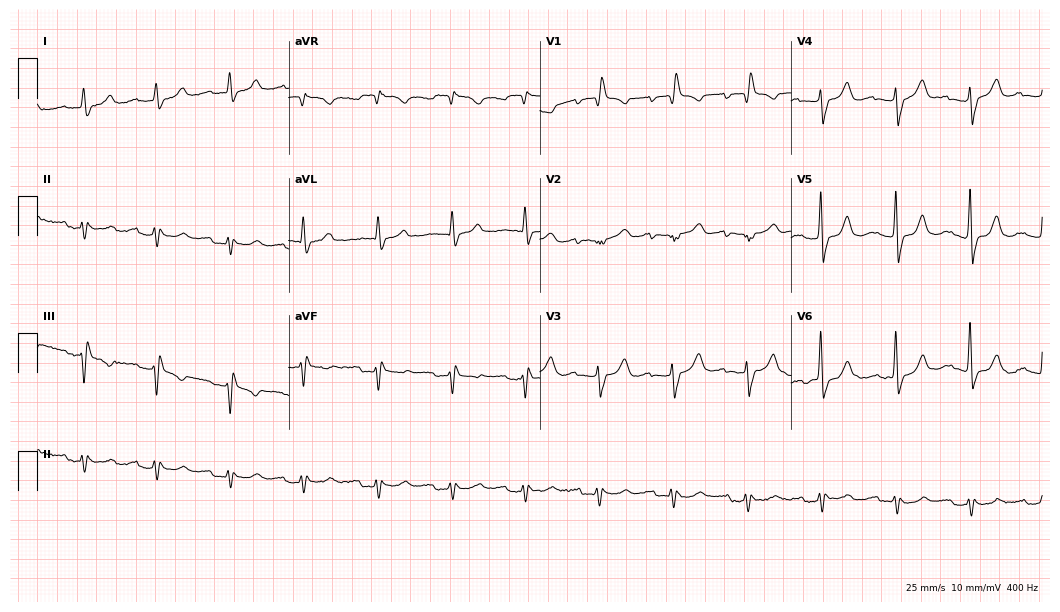
Resting 12-lead electrocardiogram (10.2-second recording at 400 Hz). Patient: a man, 75 years old. The tracing shows first-degree AV block, right bundle branch block.